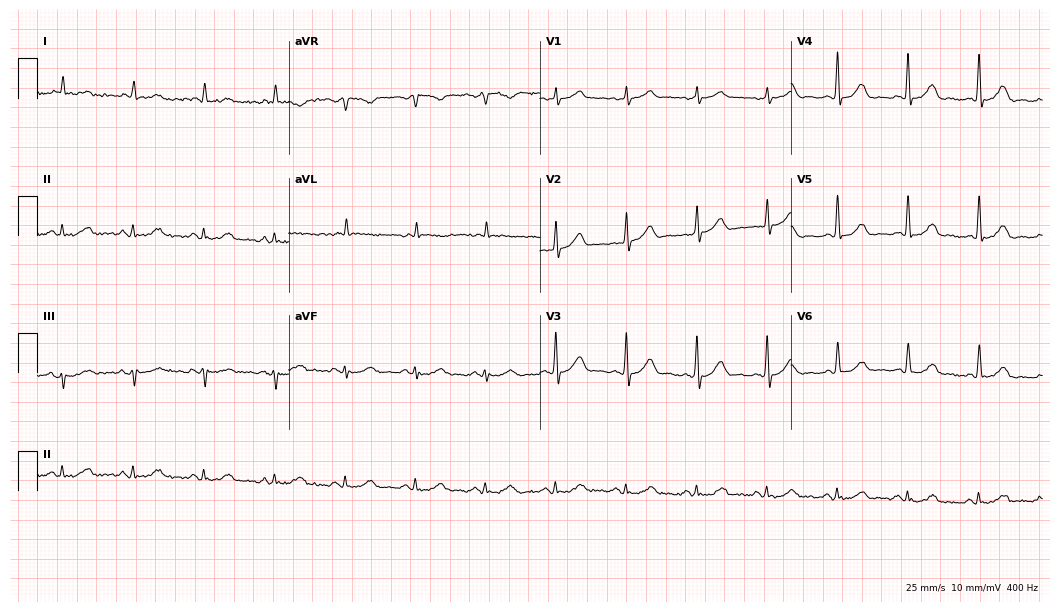
Resting 12-lead electrocardiogram. Patient: a male, 87 years old. Read as a normal ECG.